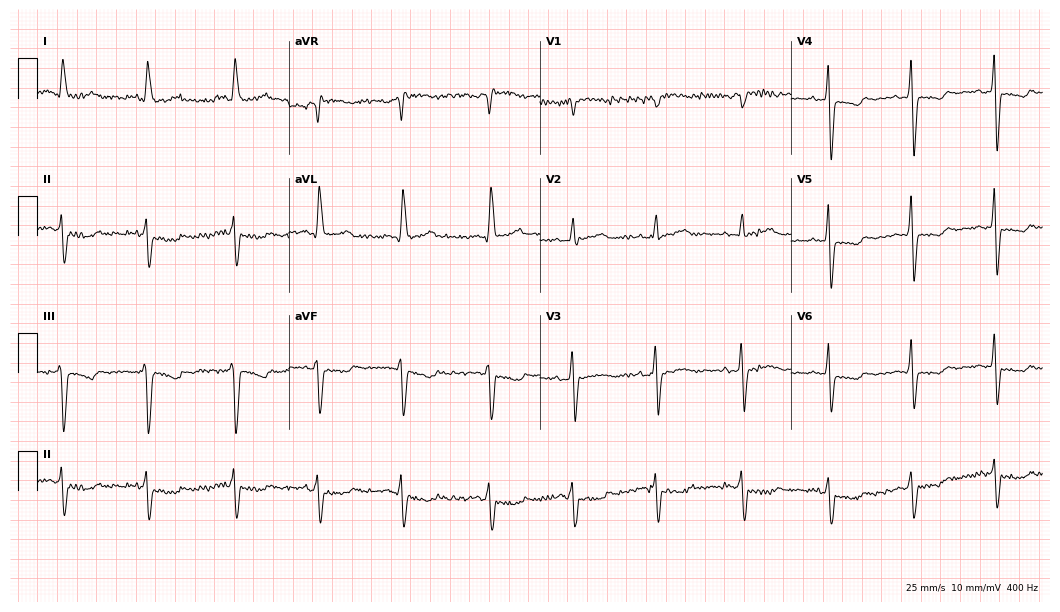
Resting 12-lead electrocardiogram (10.2-second recording at 400 Hz). Patient: a female, 50 years old. None of these six findings is recorded: first-degree AV block, right bundle branch block, left bundle branch block, sinus bradycardia, atrial fibrillation, sinus tachycardia. Other findings, if any, are not listed.